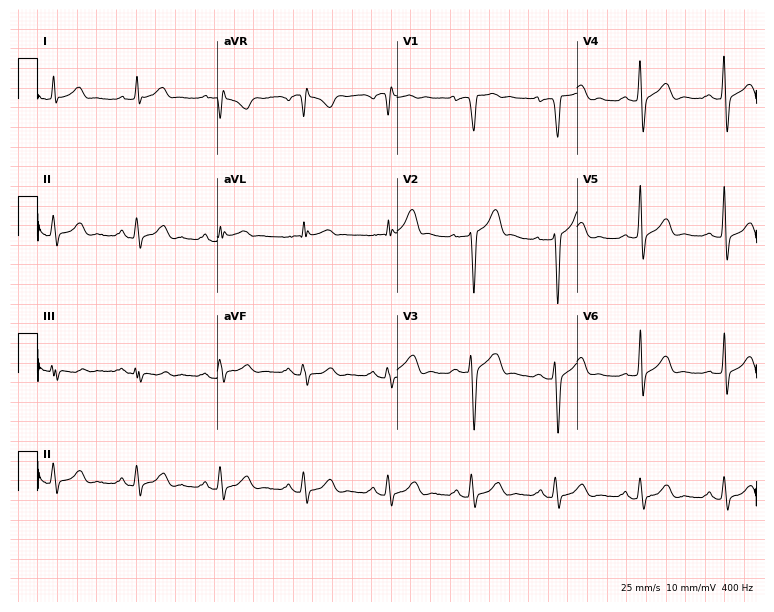
Electrocardiogram (7.3-second recording at 400 Hz), a 46-year-old man. Of the six screened findings (first-degree AV block, right bundle branch block (RBBB), left bundle branch block (LBBB), sinus bradycardia, atrial fibrillation (AF), sinus tachycardia), none is recorded.